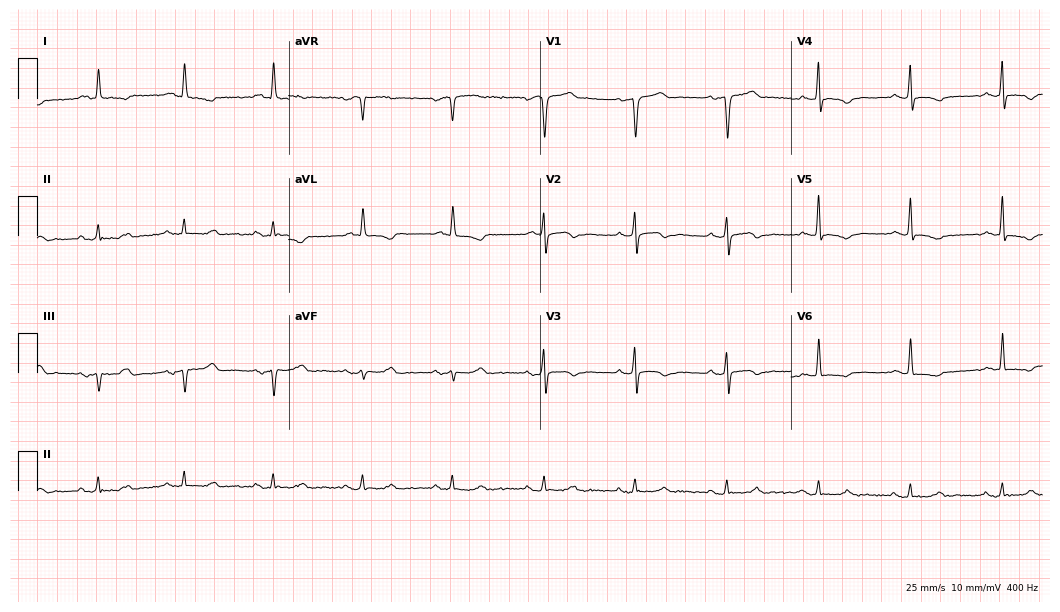
Standard 12-lead ECG recorded from a 69-year-old man (10.2-second recording at 400 Hz). None of these six findings is recorded: first-degree AV block, right bundle branch block, left bundle branch block, sinus bradycardia, atrial fibrillation, sinus tachycardia. Only these six findings were labelled.